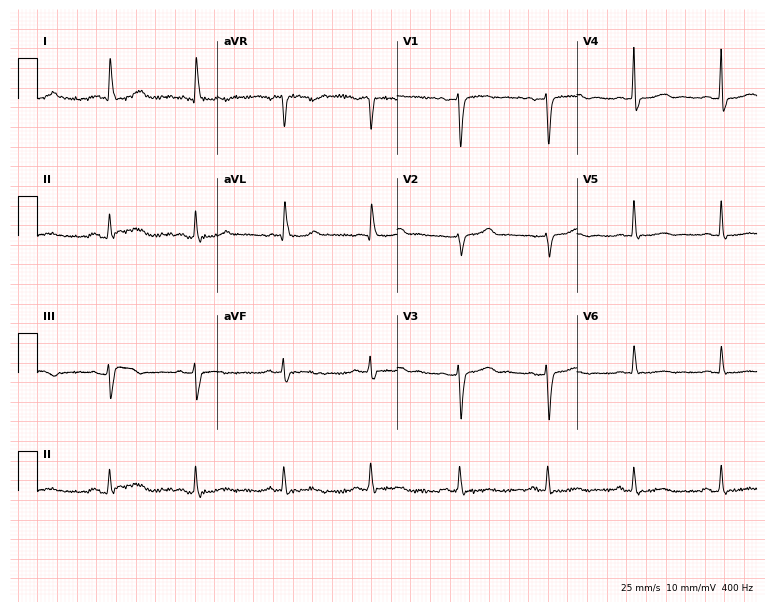
12-lead ECG from a female patient, 68 years old. Screened for six findings — first-degree AV block, right bundle branch block, left bundle branch block, sinus bradycardia, atrial fibrillation, sinus tachycardia — none is recorded.